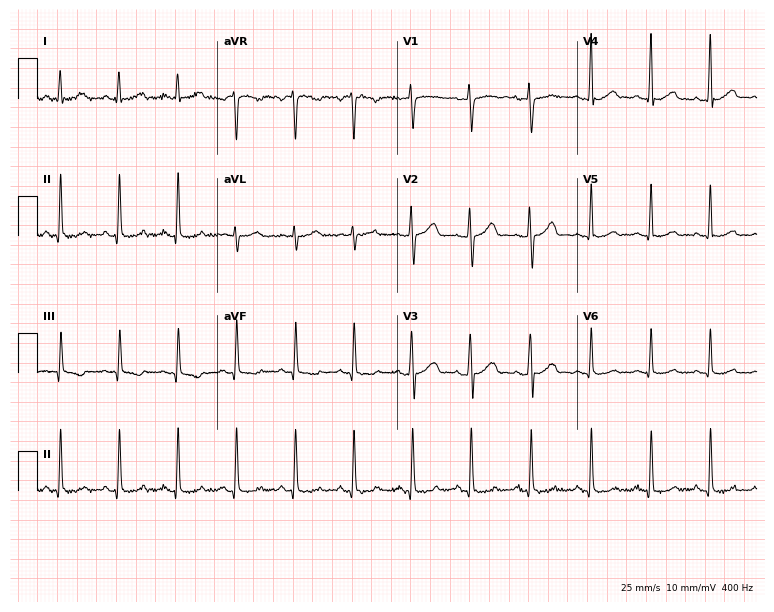
12-lead ECG from a female, 33 years old (7.3-second recording at 400 Hz). No first-degree AV block, right bundle branch block, left bundle branch block, sinus bradycardia, atrial fibrillation or sinus tachycardia recorded for this tracing. Findings outside these six are not listed.